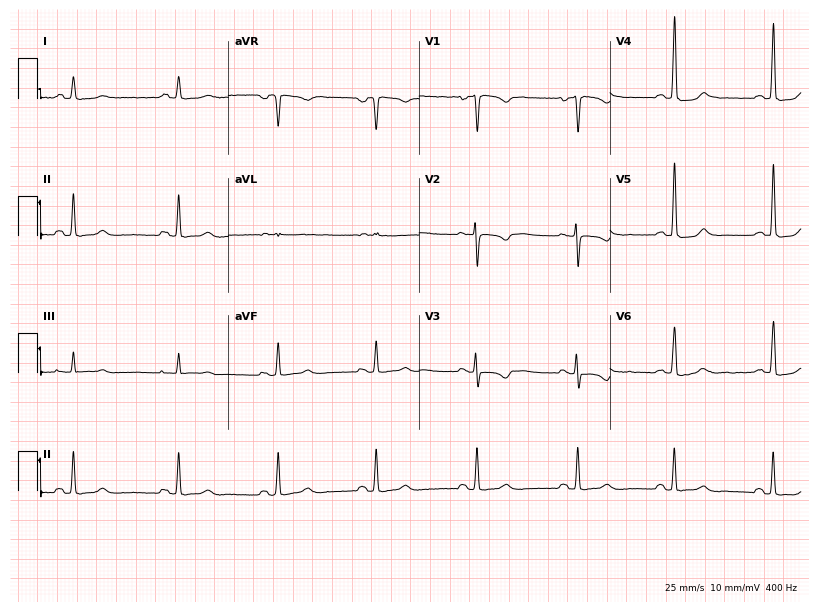
Resting 12-lead electrocardiogram (7.8-second recording at 400 Hz). Patient: a 38-year-old female. None of these six findings is recorded: first-degree AV block, right bundle branch block, left bundle branch block, sinus bradycardia, atrial fibrillation, sinus tachycardia.